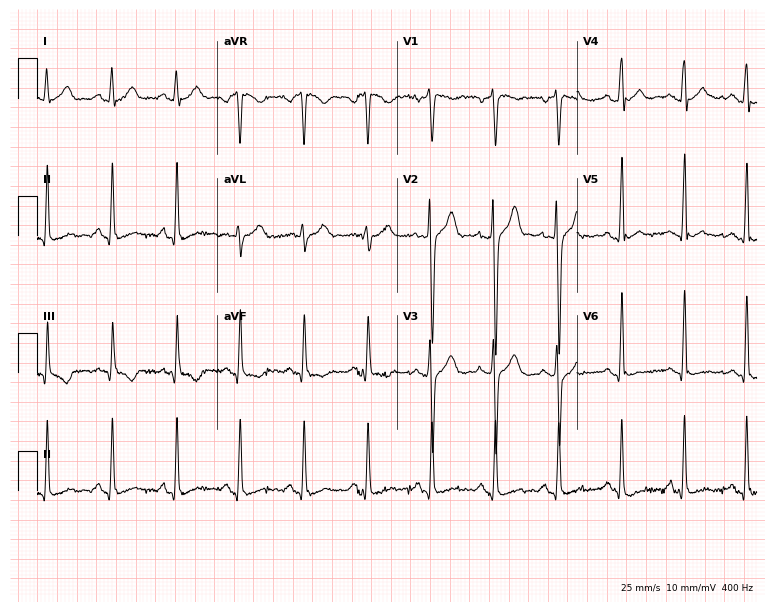
Standard 12-lead ECG recorded from a 33-year-old man (7.3-second recording at 400 Hz). None of these six findings is recorded: first-degree AV block, right bundle branch block, left bundle branch block, sinus bradycardia, atrial fibrillation, sinus tachycardia.